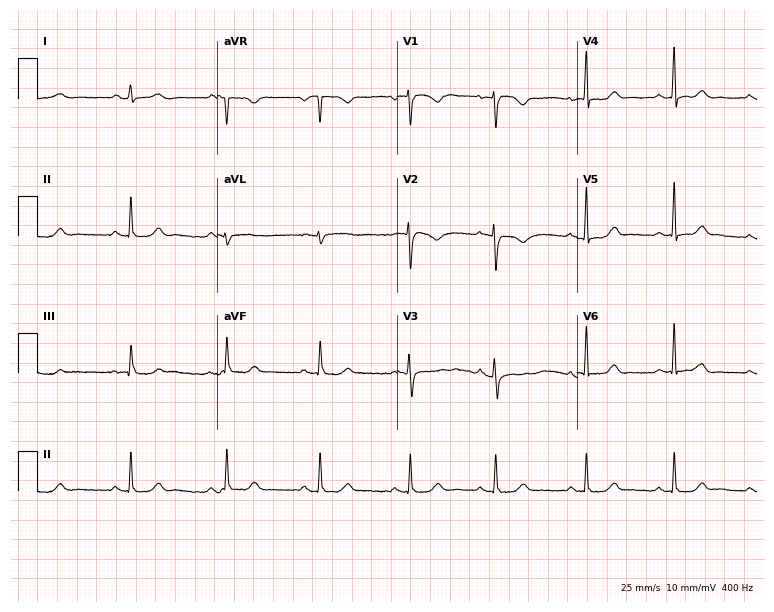
12-lead ECG from a female, 36 years old. Screened for six findings — first-degree AV block, right bundle branch block, left bundle branch block, sinus bradycardia, atrial fibrillation, sinus tachycardia — none is recorded. Other findings, if any, are not listed.